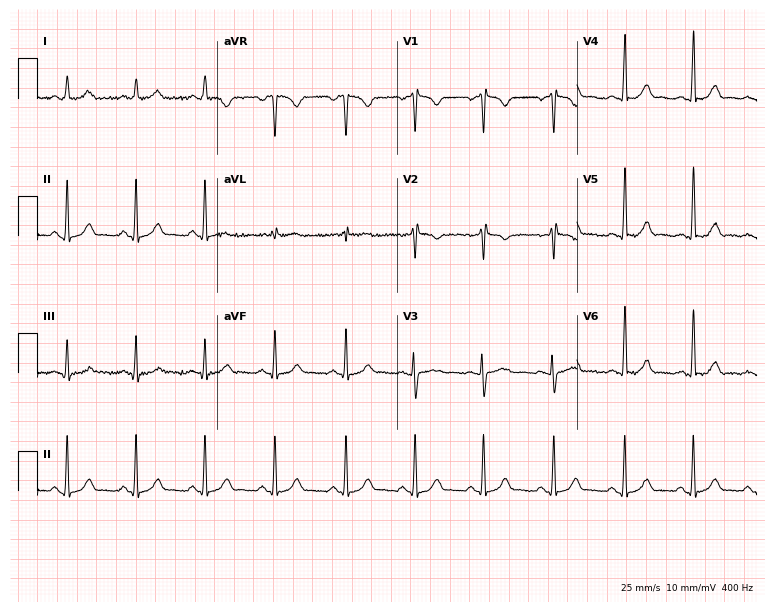
12-lead ECG from a 27-year-old woman (7.3-second recording at 400 Hz). Recorded interpretation: within normal limits.